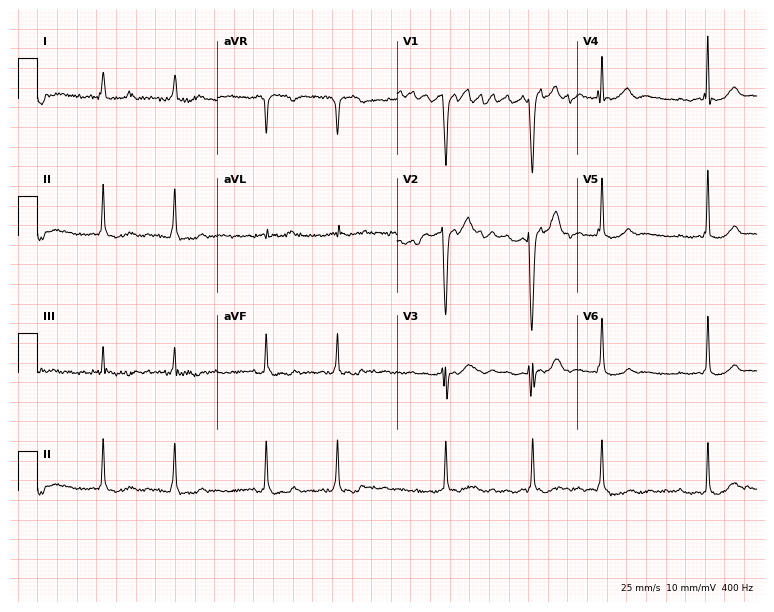
ECG — a woman, 76 years old. Findings include atrial fibrillation (AF).